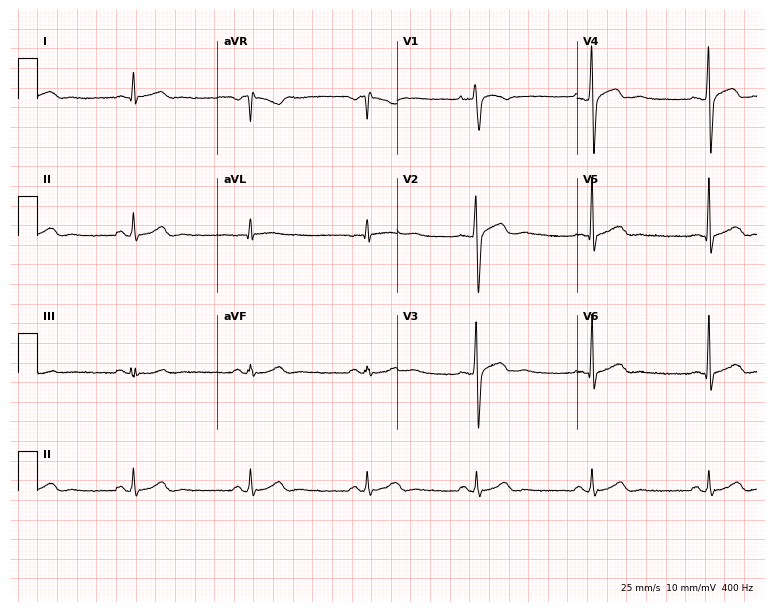
12-lead ECG from a male patient, 28 years old. Labelled as a normal ECG.